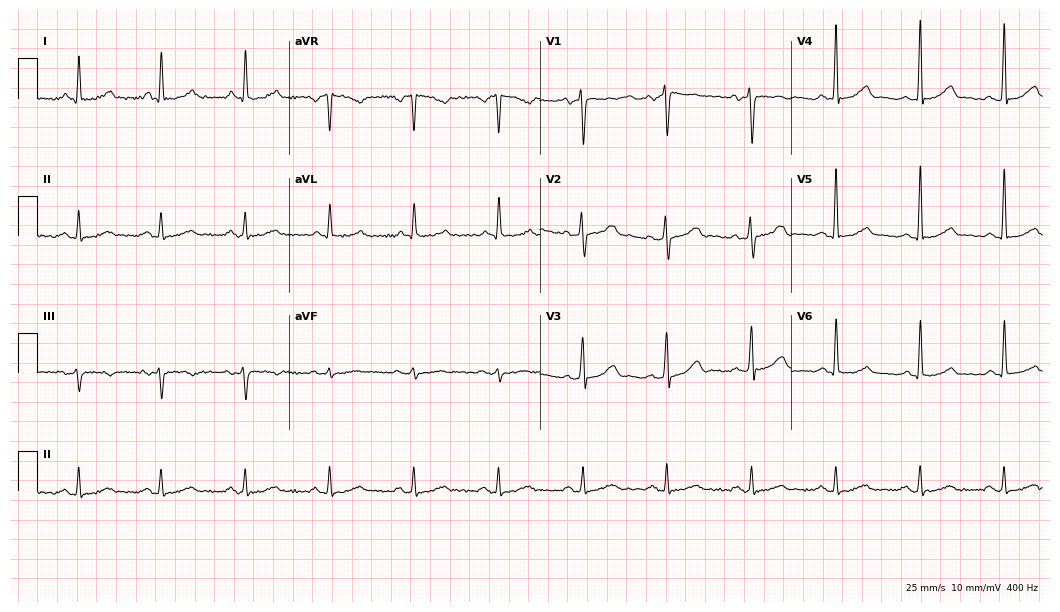
Standard 12-lead ECG recorded from a male, 59 years old. None of these six findings is recorded: first-degree AV block, right bundle branch block, left bundle branch block, sinus bradycardia, atrial fibrillation, sinus tachycardia.